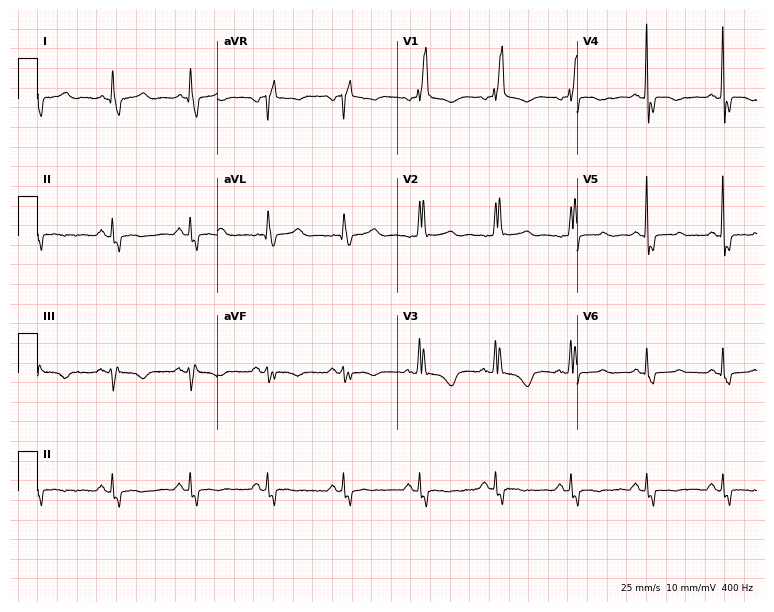
Electrocardiogram (7.3-second recording at 400 Hz), a 72-year-old female. Interpretation includes right bundle branch block.